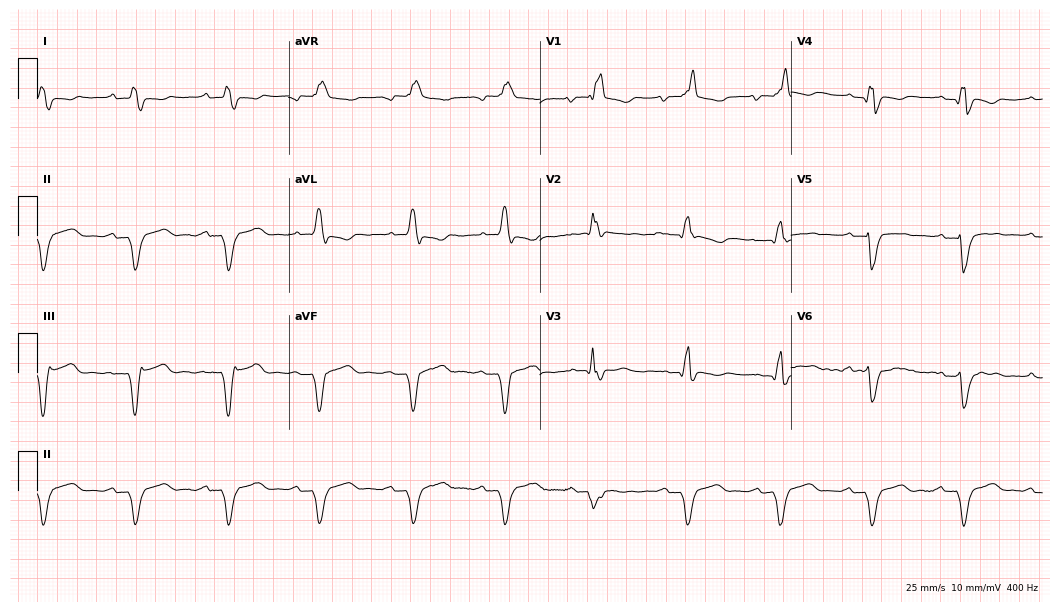
12-lead ECG (10.2-second recording at 400 Hz) from a 77-year-old male. Findings include first-degree AV block, right bundle branch block (RBBB).